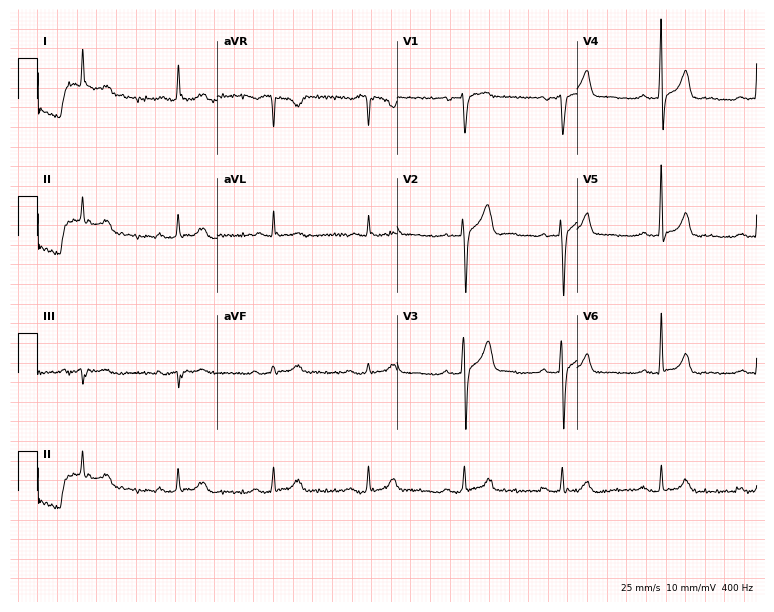
12-lead ECG from a man, 71 years old. Screened for six findings — first-degree AV block, right bundle branch block, left bundle branch block, sinus bradycardia, atrial fibrillation, sinus tachycardia — none is recorded.